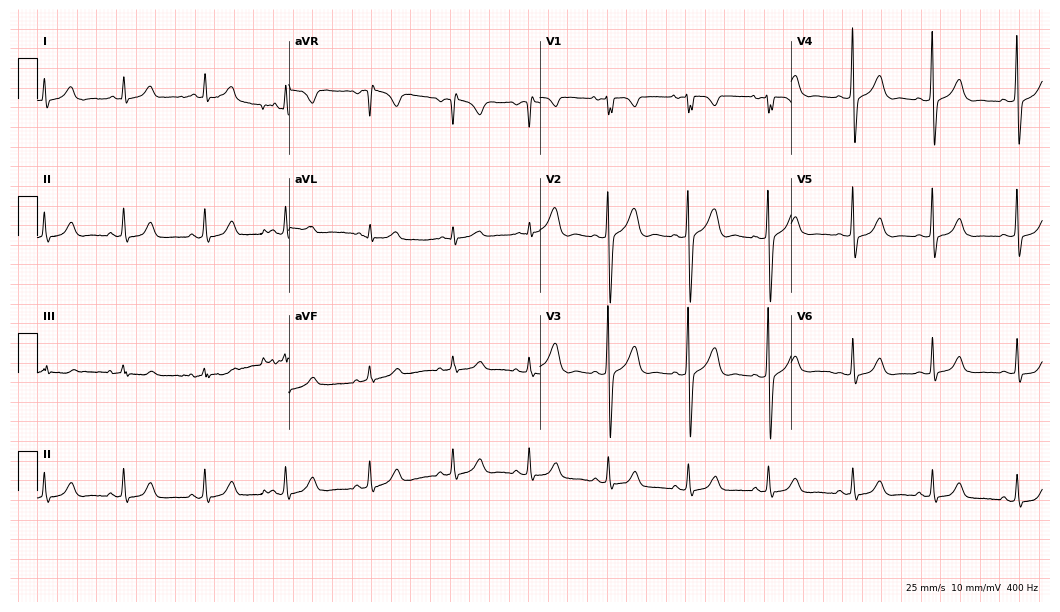
Electrocardiogram (10.2-second recording at 400 Hz), a female patient, 32 years old. Of the six screened findings (first-degree AV block, right bundle branch block, left bundle branch block, sinus bradycardia, atrial fibrillation, sinus tachycardia), none is recorded. Findings outside these six are not listed.